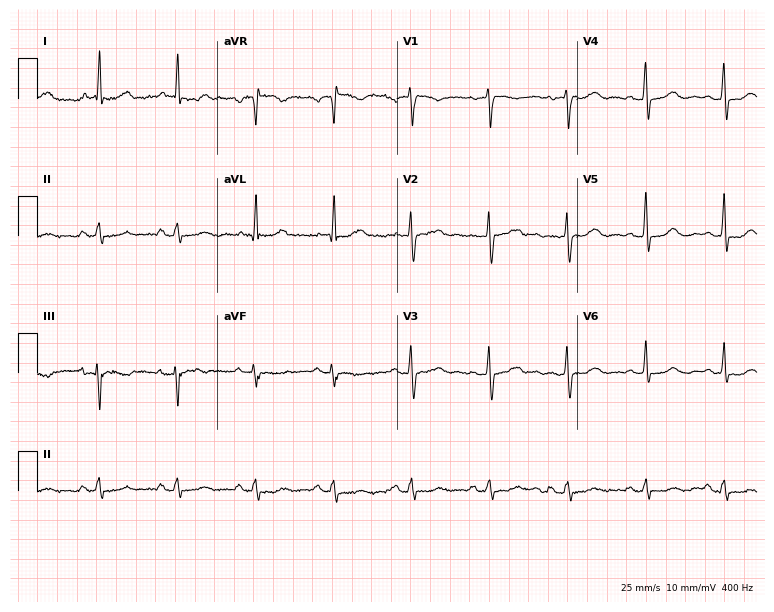
Resting 12-lead electrocardiogram. Patient: a 74-year-old male. None of these six findings is recorded: first-degree AV block, right bundle branch block, left bundle branch block, sinus bradycardia, atrial fibrillation, sinus tachycardia. Findings outside these six are not listed.